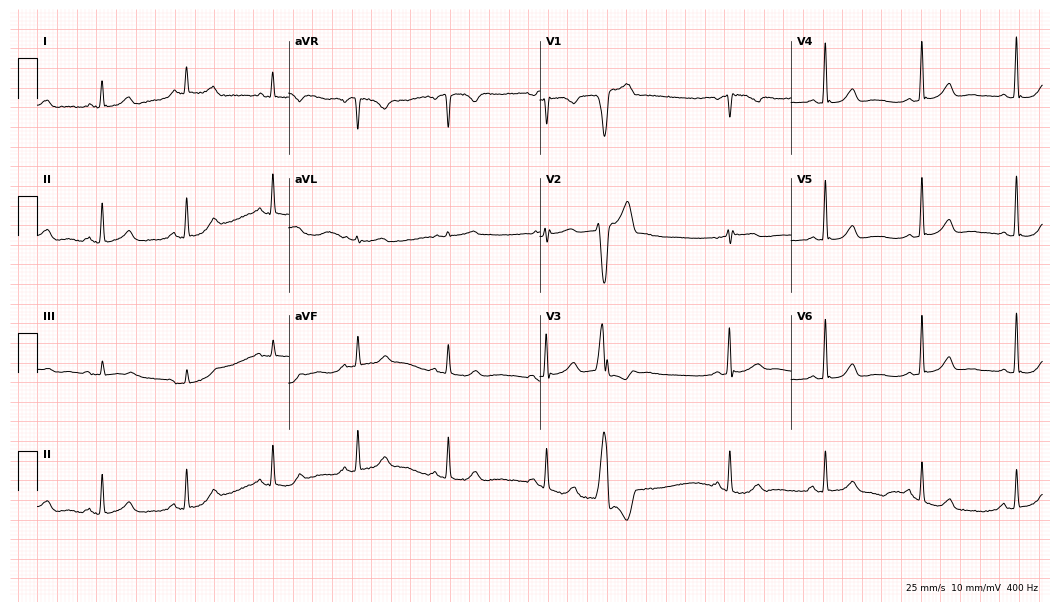
Standard 12-lead ECG recorded from a 69-year-old woman (10.2-second recording at 400 Hz). None of these six findings is recorded: first-degree AV block, right bundle branch block, left bundle branch block, sinus bradycardia, atrial fibrillation, sinus tachycardia. Other findings, if any, are not listed.